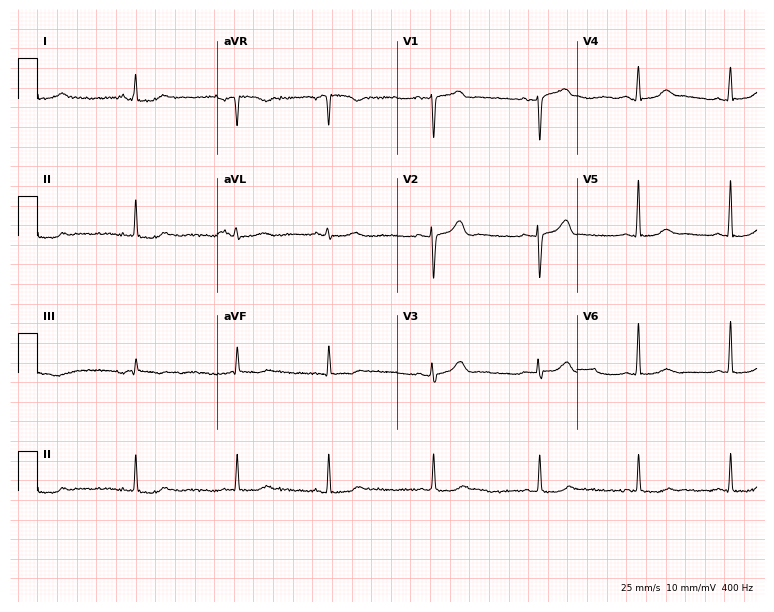
Resting 12-lead electrocardiogram (7.3-second recording at 400 Hz). Patient: a 44-year-old female. None of these six findings is recorded: first-degree AV block, right bundle branch block, left bundle branch block, sinus bradycardia, atrial fibrillation, sinus tachycardia.